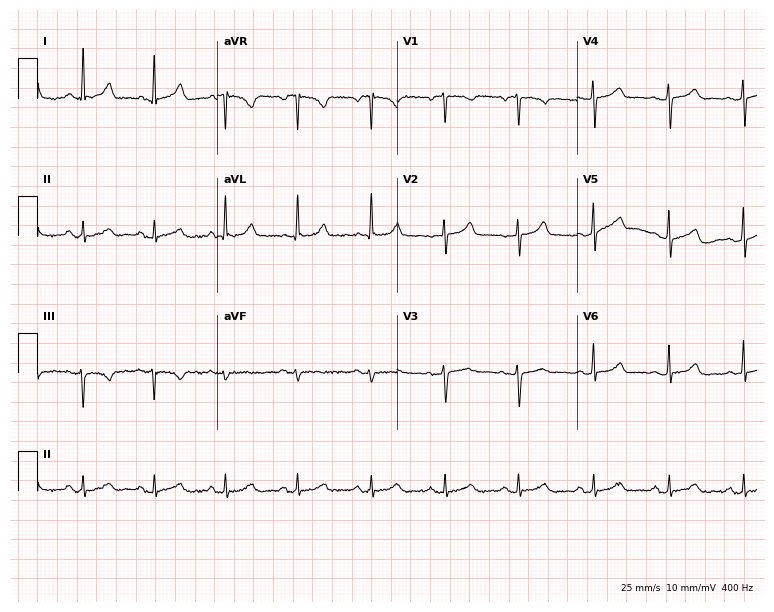
Resting 12-lead electrocardiogram (7.3-second recording at 400 Hz). Patient: a 59-year-old woman. Read as a normal ECG.